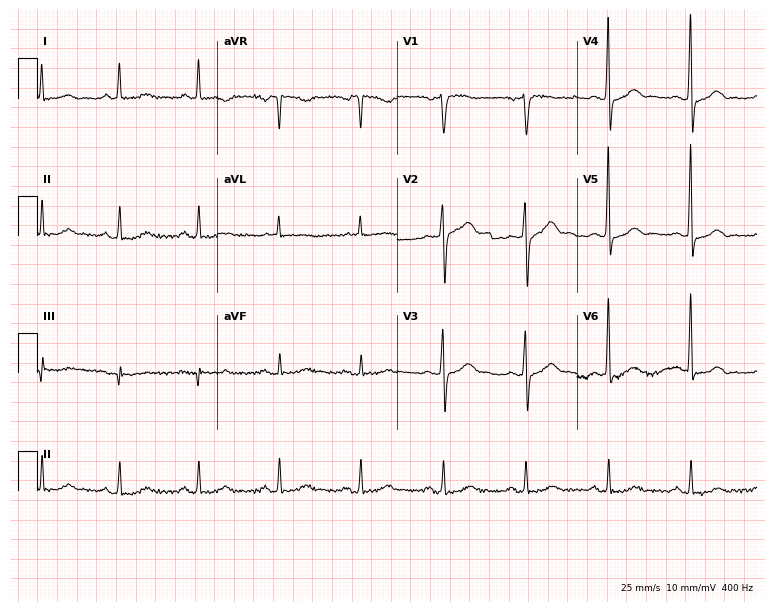
Standard 12-lead ECG recorded from a male, 73 years old (7.3-second recording at 400 Hz). Read as a normal ECG.